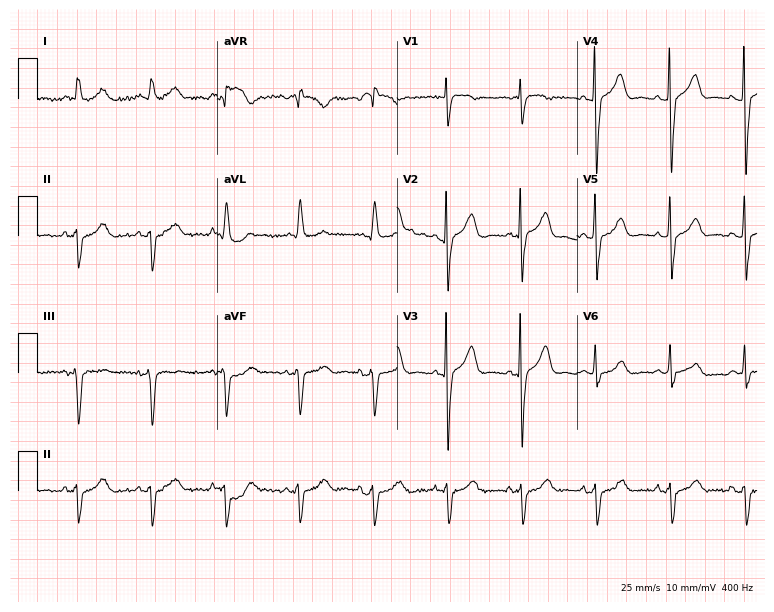
12-lead ECG from a 76-year-old female (7.3-second recording at 400 Hz). No first-degree AV block, right bundle branch block, left bundle branch block, sinus bradycardia, atrial fibrillation or sinus tachycardia recorded for this tracing.